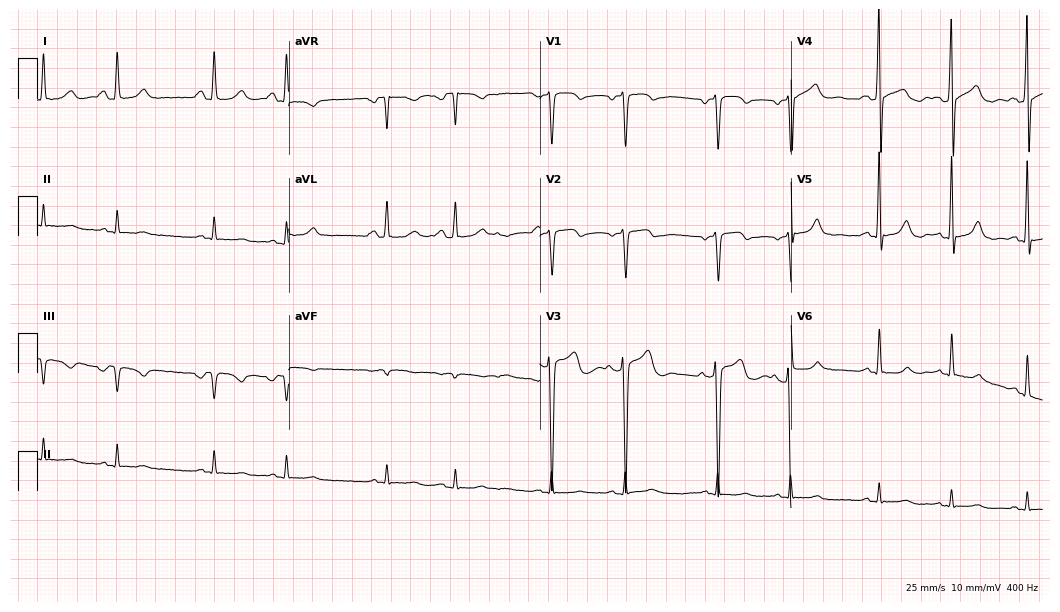
Electrocardiogram (10.2-second recording at 400 Hz), a 50-year-old male. Of the six screened findings (first-degree AV block, right bundle branch block (RBBB), left bundle branch block (LBBB), sinus bradycardia, atrial fibrillation (AF), sinus tachycardia), none is recorded.